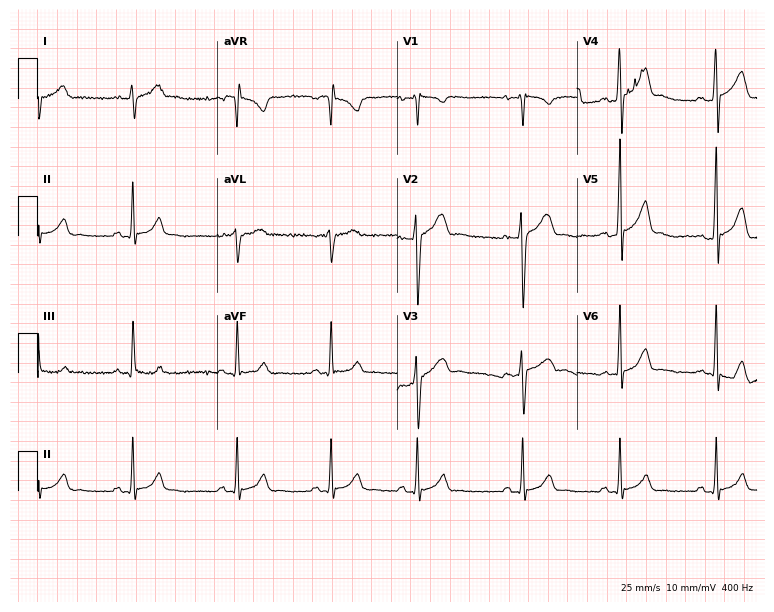
Resting 12-lead electrocardiogram. Patient: a 30-year-old male. None of these six findings is recorded: first-degree AV block, right bundle branch block, left bundle branch block, sinus bradycardia, atrial fibrillation, sinus tachycardia.